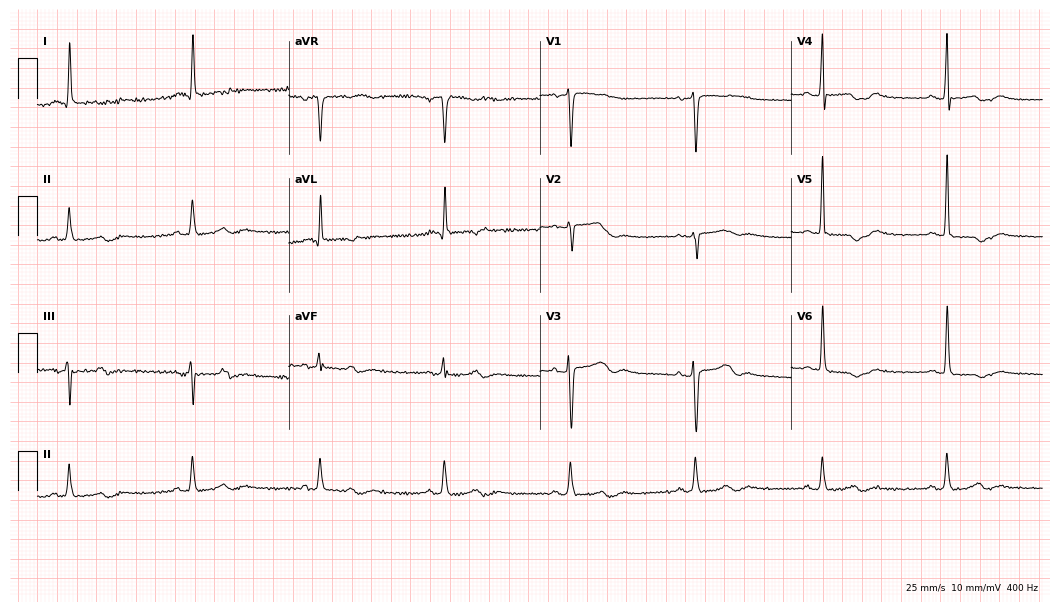
Standard 12-lead ECG recorded from a female patient, 67 years old (10.2-second recording at 400 Hz). None of these six findings is recorded: first-degree AV block, right bundle branch block (RBBB), left bundle branch block (LBBB), sinus bradycardia, atrial fibrillation (AF), sinus tachycardia. Other findings, if any, are not listed.